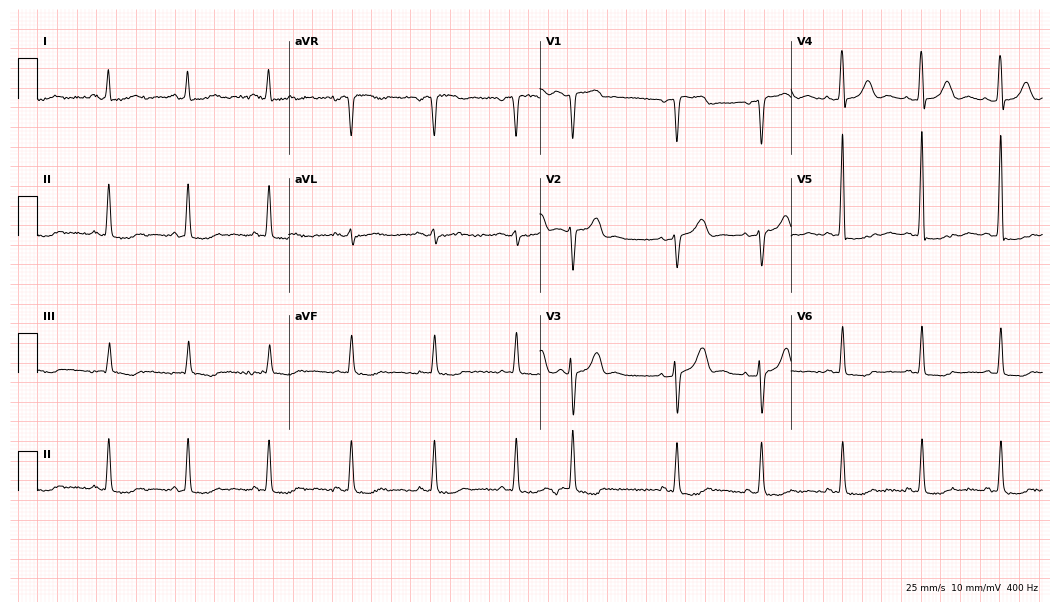
12-lead ECG (10.2-second recording at 400 Hz) from a 72-year-old female patient. Screened for six findings — first-degree AV block, right bundle branch block, left bundle branch block, sinus bradycardia, atrial fibrillation, sinus tachycardia — none is recorded. Other findings, if any, are not listed.